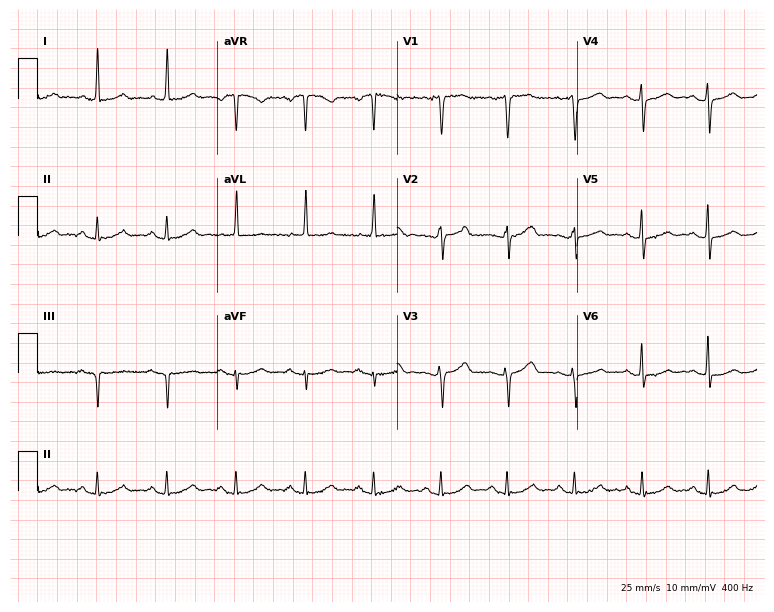
12-lead ECG from a female patient, 64 years old. Labelled as a normal ECG.